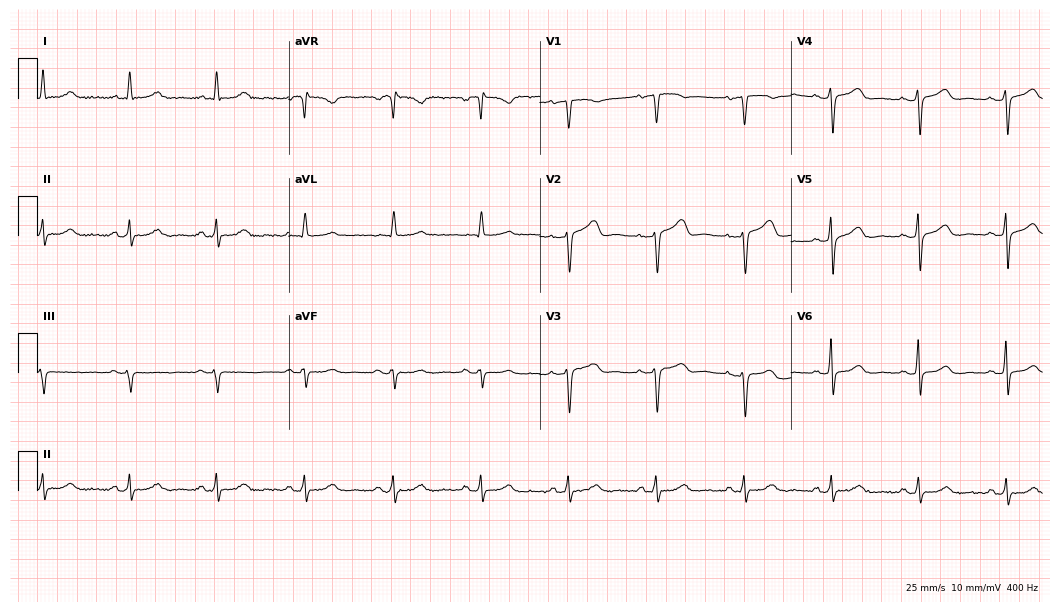
ECG (10.2-second recording at 400 Hz) — a woman, 84 years old. Labelled as a normal ECG.